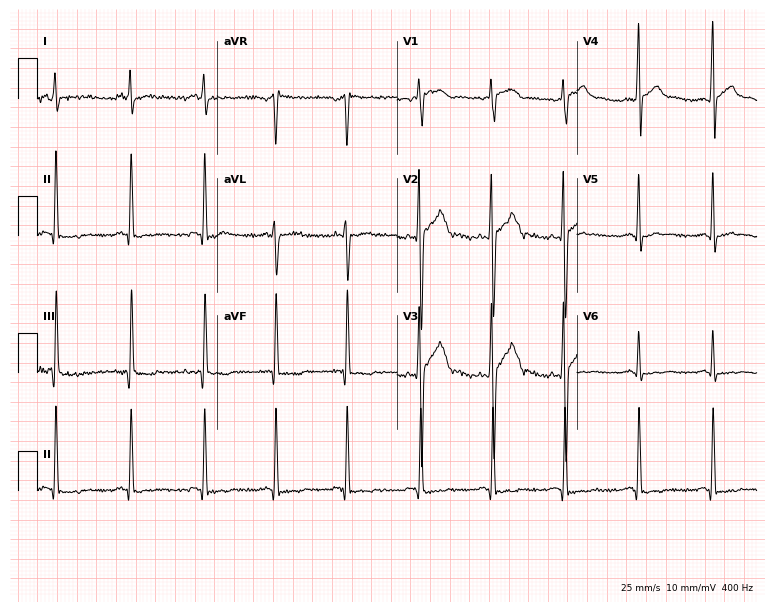
12-lead ECG from a man, 21 years old. Screened for six findings — first-degree AV block, right bundle branch block, left bundle branch block, sinus bradycardia, atrial fibrillation, sinus tachycardia — none is recorded.